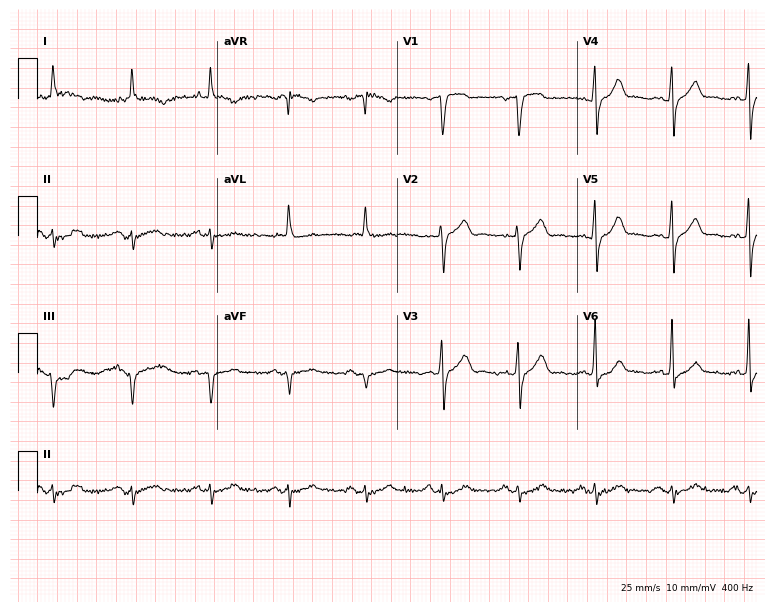
ECG — a 69-year-old man. Screened for six findings — first-degree AV block, right bundle branch block (RBBB), left bundle branch block (LBBB), sinus bradycardia, atrial fibrillation (AF), sinus tachycardia — none is recorded. Only these six findings were labelled.